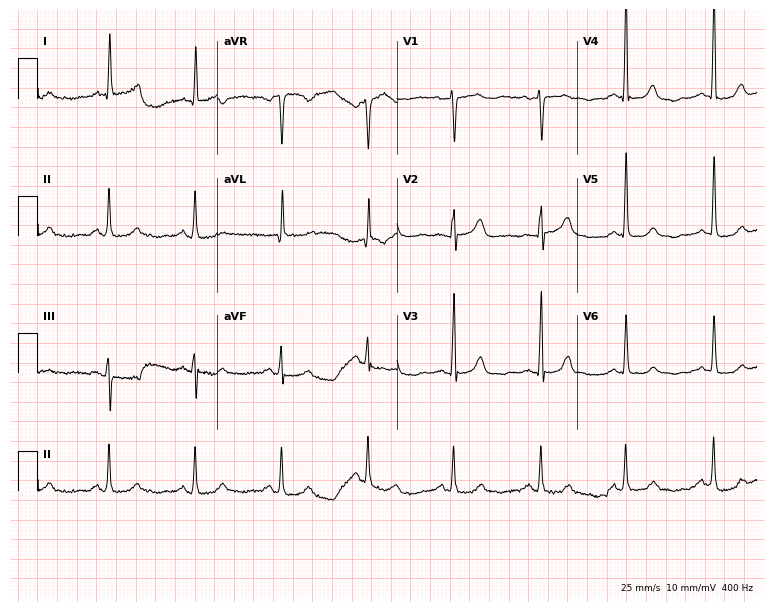
ECG — a 76-year-old female patient. Screened for six findings — first-degree AV block, right bundle branch block, left bundle branch block, sinus bradycardia, atrial fibrillation, sinus tachycardia — none is recorded. Only these six findings were labelled.